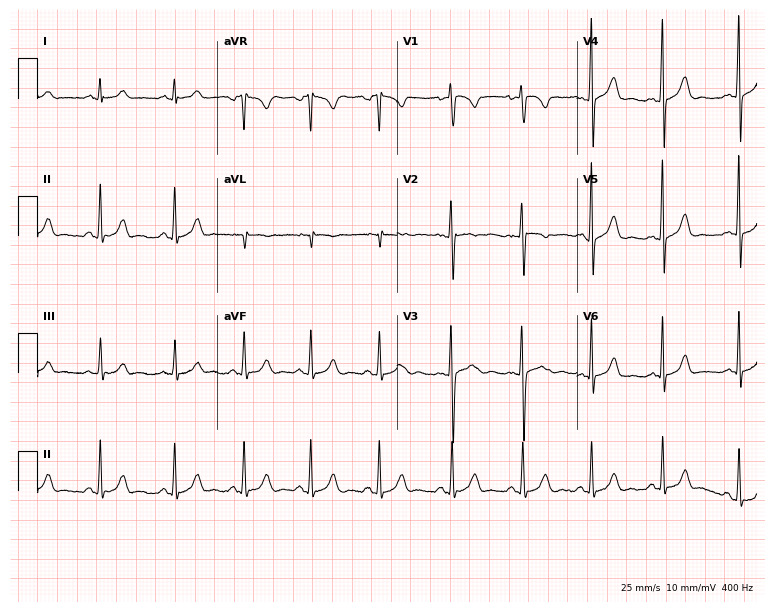
Electrocardiogram (7.3-second recording at 400 Hz), a 17-year-old woman. Of the six screened findings (first-degree AV block, right bundle branch block, left bundle branch block, sinus bradycardia, atrial fibrillation, sinus tachycardia), none is recorded. Only these six findings were labelled.